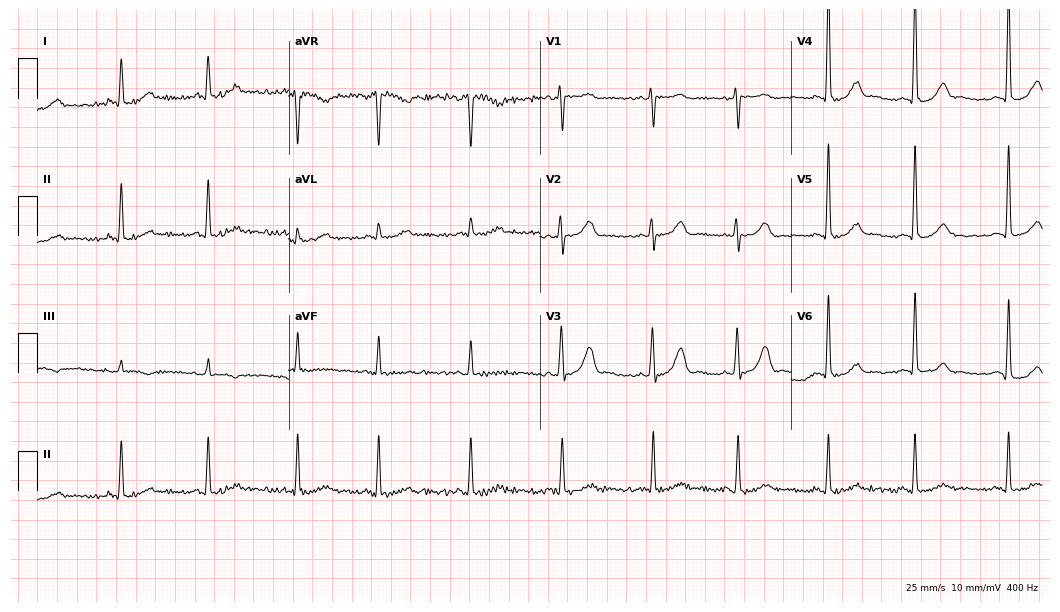
ECG — a female patient, 60 years old. Labelled as a normal ECG.